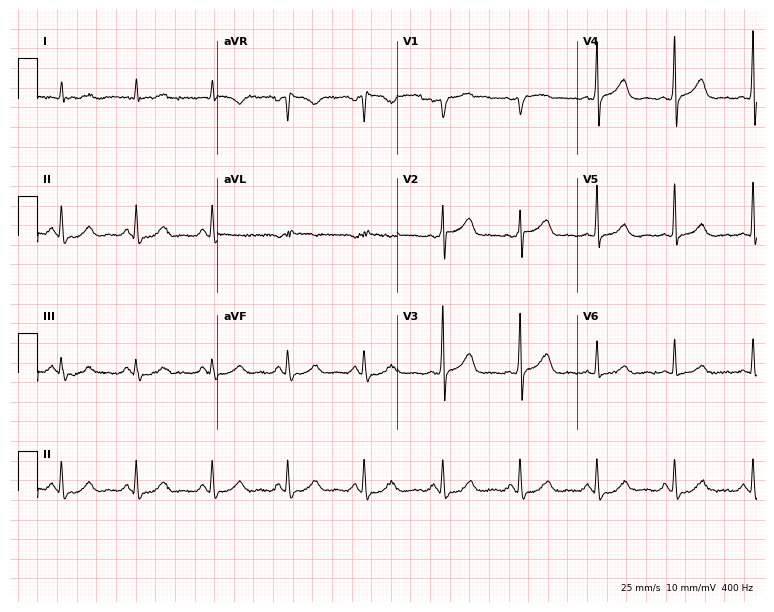
ECG — a 65-year-old man. Labelled as a normal ECG.